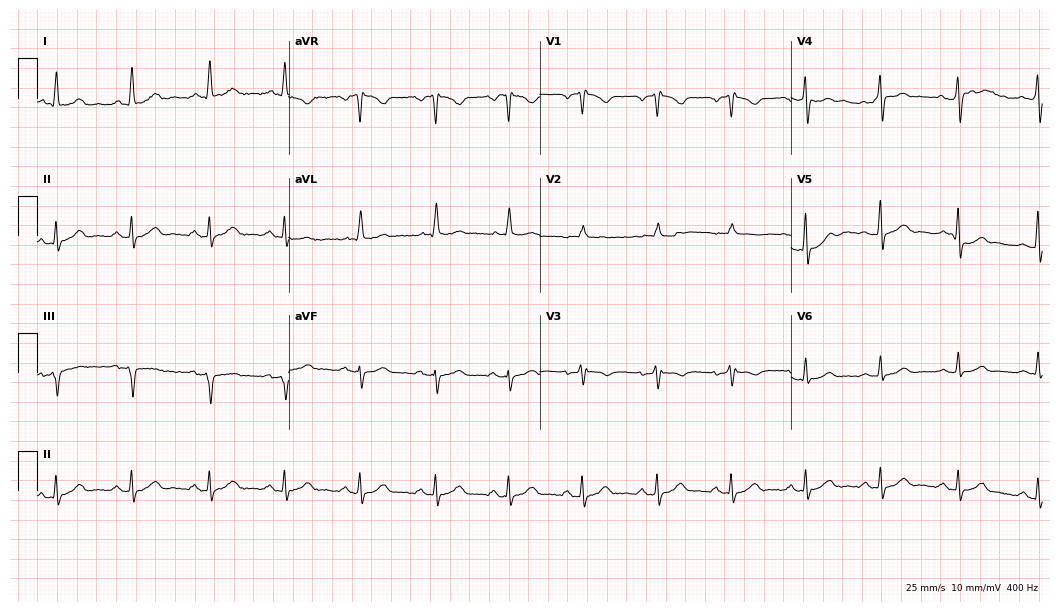
ECG — a male patient, 58 years old. Screened for six findings — first-degree AV block, right bundle branch block (RBBB), left bundle branch block (LBBB), sinus bradycardia, atrial fibrillation (AF), sinus tachycardia — none is recorded.